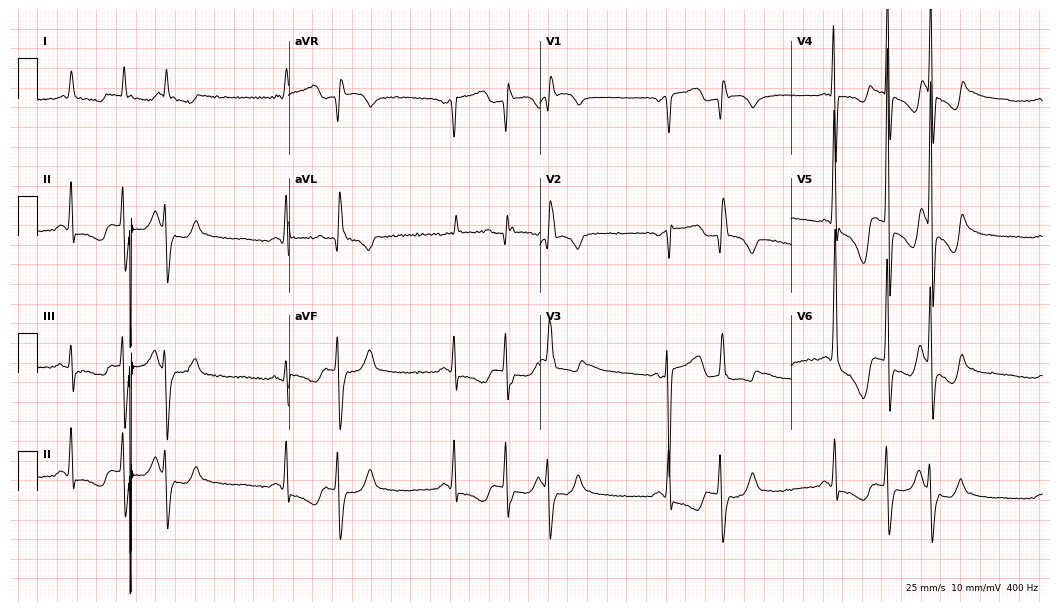
Standard 12-lead ECG recorded from a 72-year-old woman (10.2-second recording at 400 Hz). None of these six findings is recorded: first-degree AV block, right bundle branch block, left bundle branch block, sinus bradycardia, atrial fibrillation, sinus tachycardia. Only these six findings were labelled.